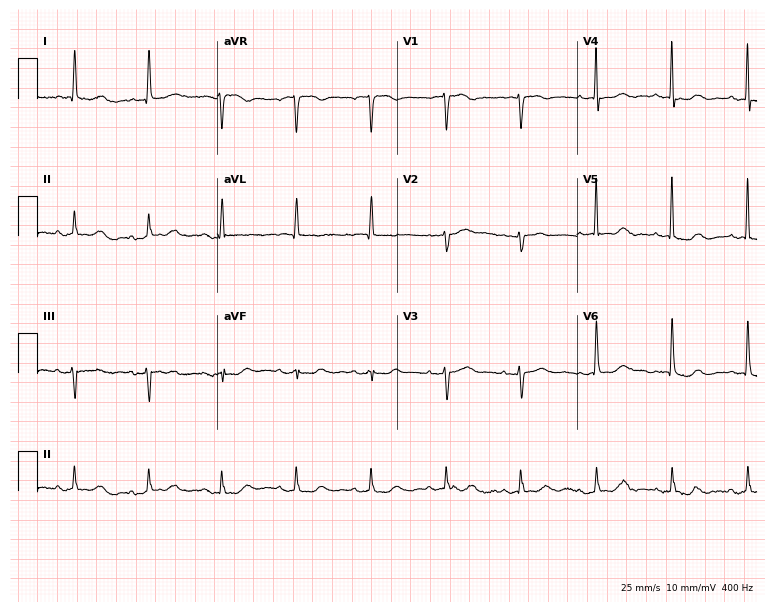
Electrocardiogram, a female patient, 83 years old. Of the six screened findings (first-degree AV block, right bundle branch block, left bundle branch block, sinus bradycardia, atrial fibrillation, sinus tachycardia), none is recorded.